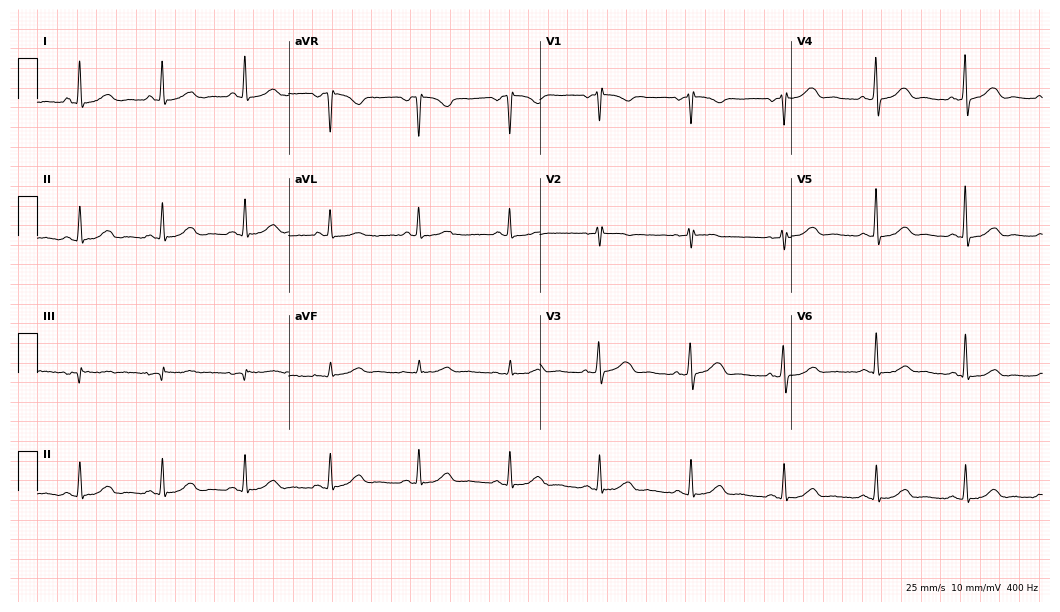
Standard 12-lead ECG recorded from a woman, 57 years old (10.2-second recording at 400 Hz). None of these six findings is recorded: first-degree AV block, right bundle branch block (RBBB), left bundle branch block (LBBB), sinus bradycardia, atrial fibrillation (AF), sinus tachycardia. Findings outside these six are not listed.